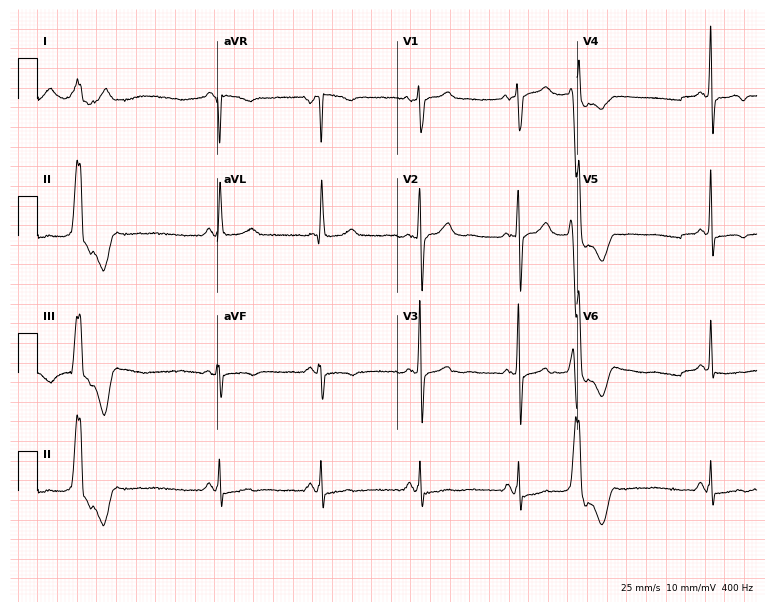
ECG (7.3-second recording at 400 Hz) — a 58-year-old female. Screened for six findings — first-degree AV block, right bundle branch block (RBBB), left bundle branch block (LBBB), sinus bradycardia, atrial fibrillation (AF), sinus tachycardia — none is recorded.